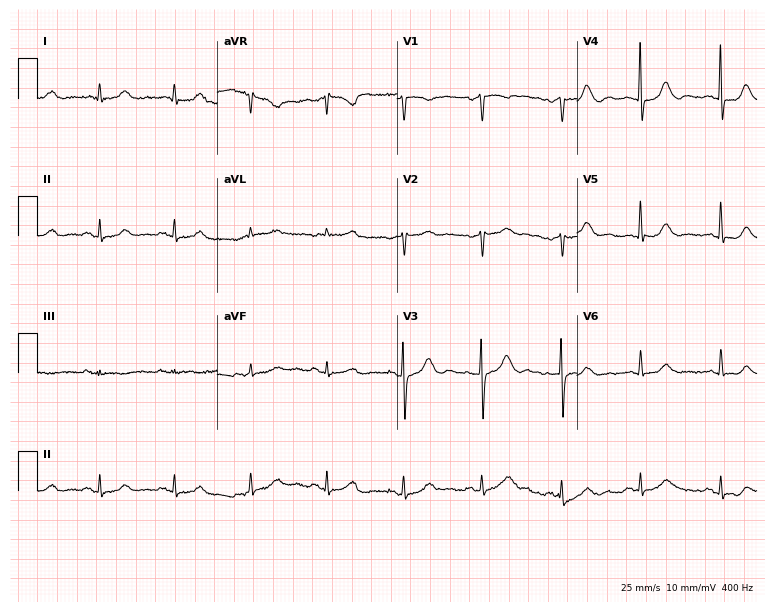
Resting 12-lead electrocardiogram. Patient: a 73-year-old female. None of these six findings is recorded: first-degree AV block, right bundle branch block, left bundle branch block, sinus bradycardia, atrial fibrillation, sinus tachycardia. Other findings, if any, are not listed.